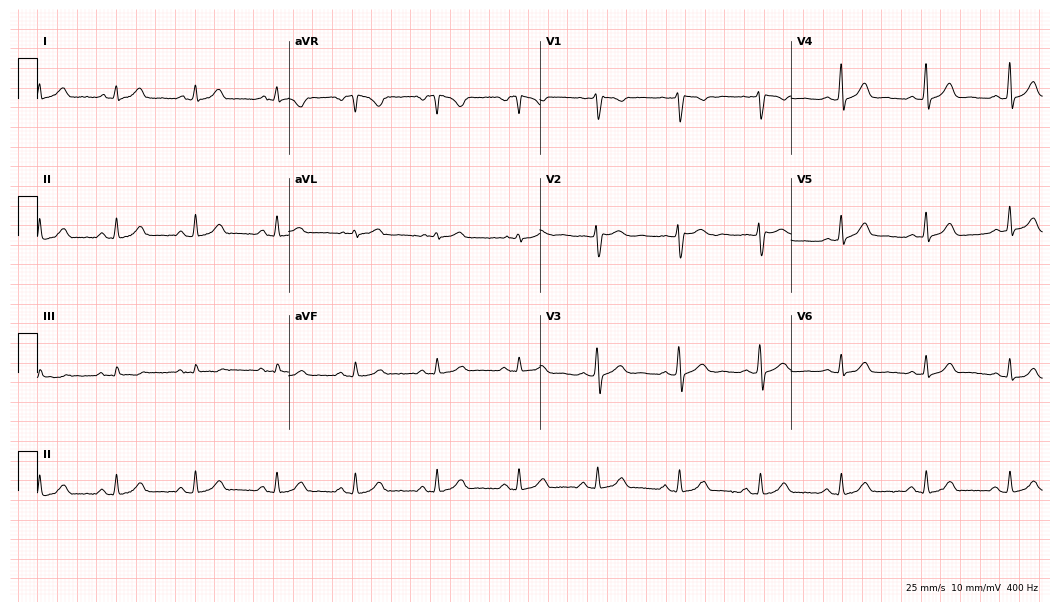
Standard 12-lead ECG recorded from a female patient, 36 years old (10.2-second recording at 400 Hz). Read as a normal ECG.